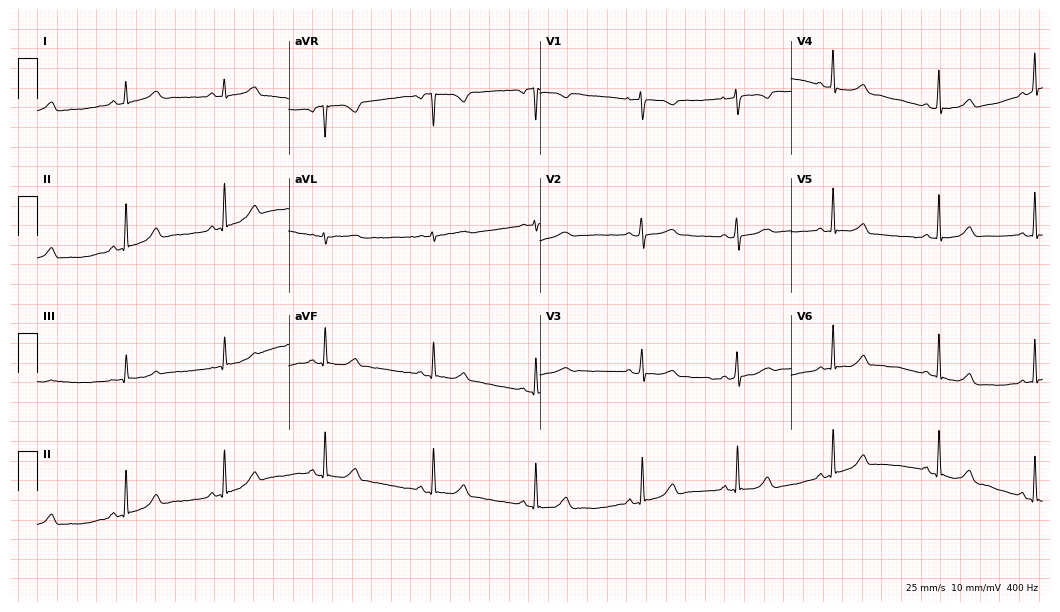
Electrocardiogram (10.2-second recording at 400 Hz), a 28-year-old female. Overall reading on record: normal ECG.